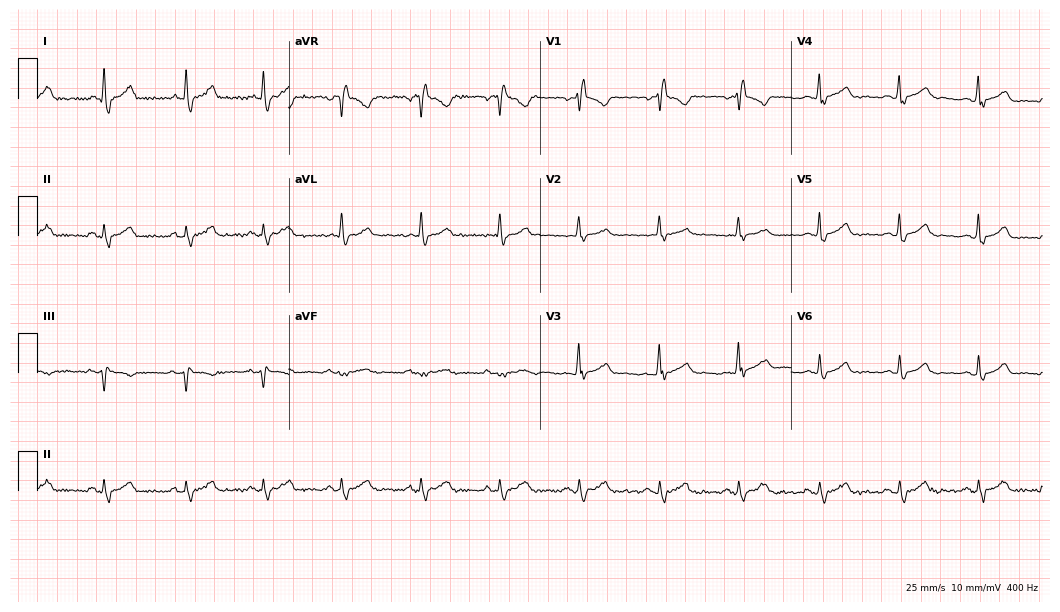
12-lead ECG from a 39-year-old woman. Shows right bundle branch block (RBBB).